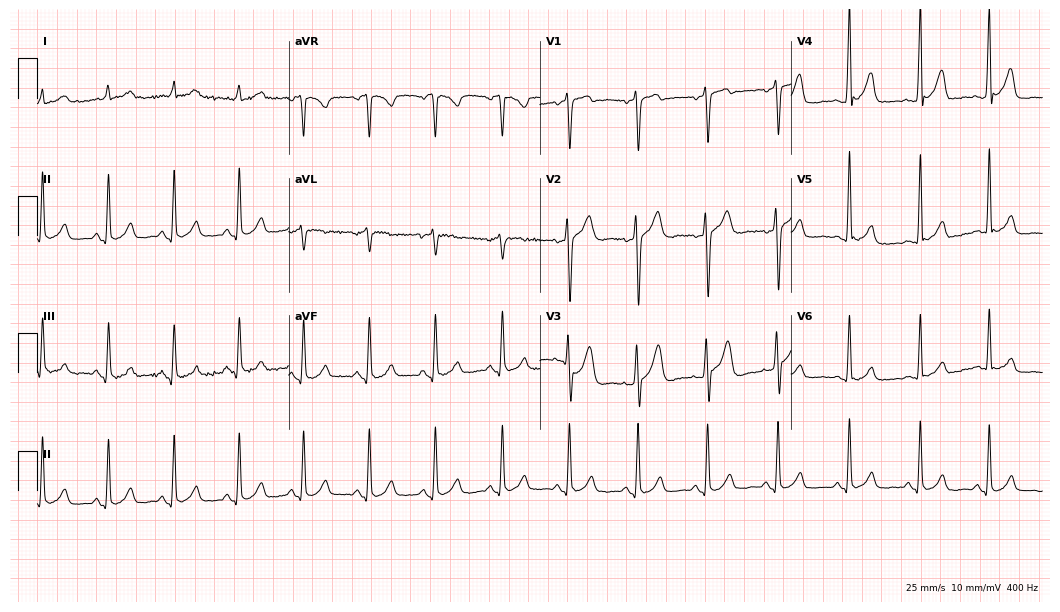
Resting 12-lead electrocardiogram. Patient: a man, 35 years old. None of these six findings is recorded: first-degree AV block, right bundle branch block, left bundle branch block, sinus bradycardia, atrial fibrillation, sinus tachycardia.